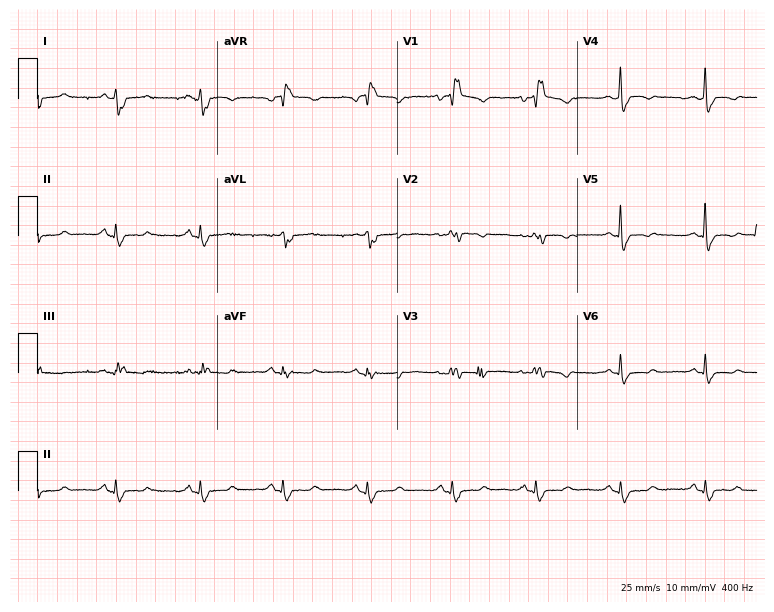
Resting 12-lead electrocardiogram (7.3-second recording at 400 Hz). Patient: a 48-year-old female. The tracing shows right bundle branch block (RBBB).